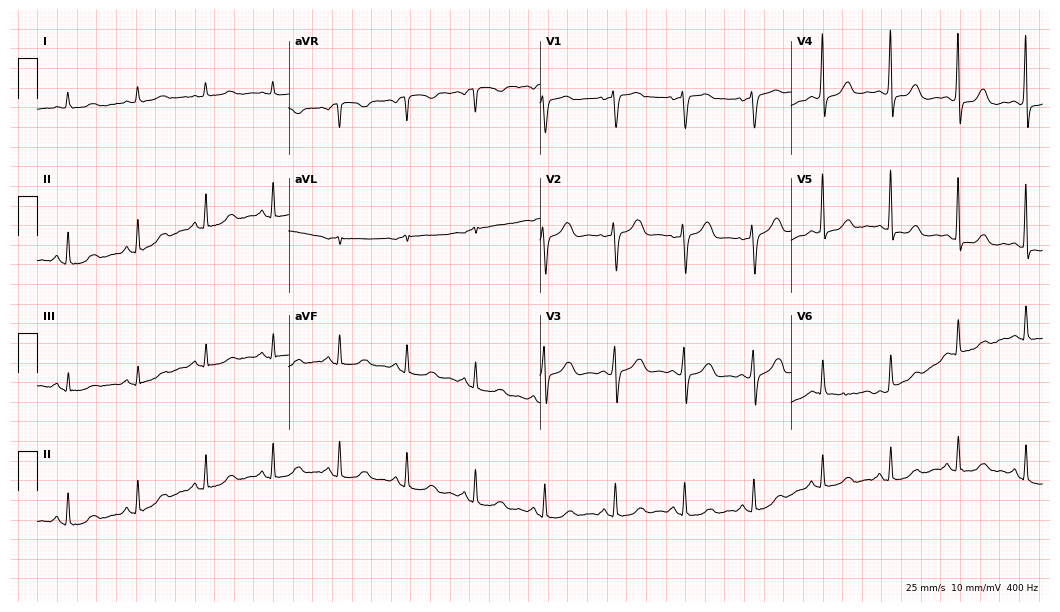
Standard 12-lead ECG recorded from a 66-year-old female patient (10.2-second recording at 400 Hz). Read as a normal ECG.